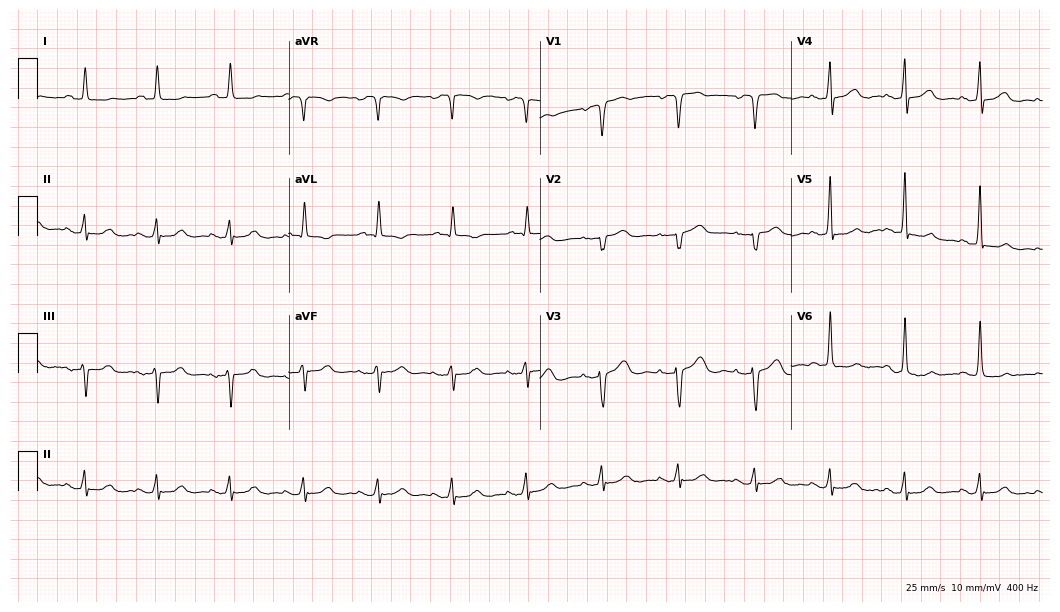
Electrocardiogram (10.2-second recording at 400 Hz), a 71-year-old woman. Overall reading on record: normal ECG.